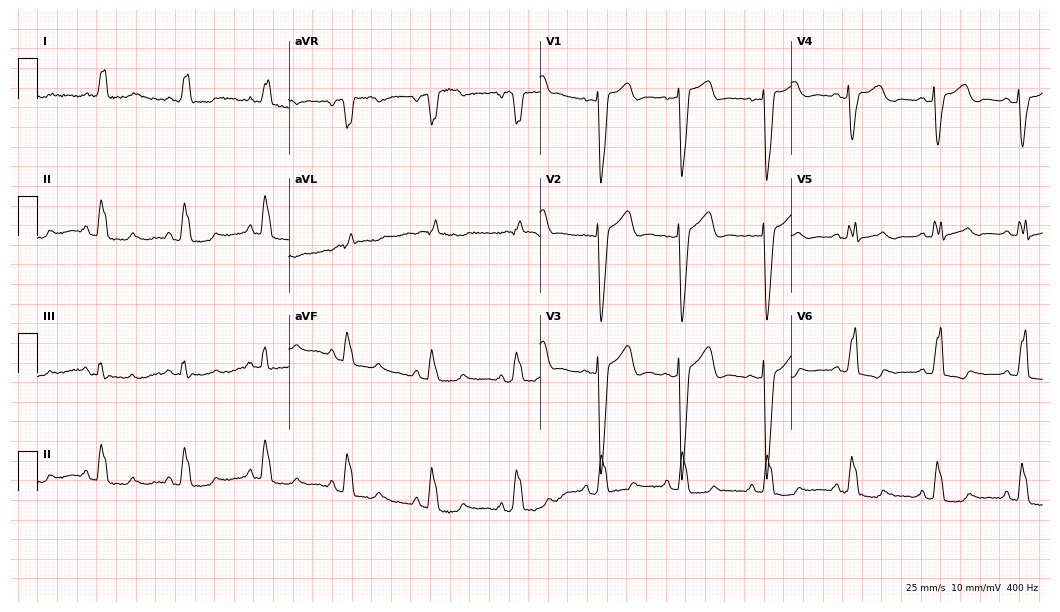
Standard 12-lead ECG recorded from a woman, 70 years old (10.2-second recording at 400 Hz). The tracing shows left bundle branch block.